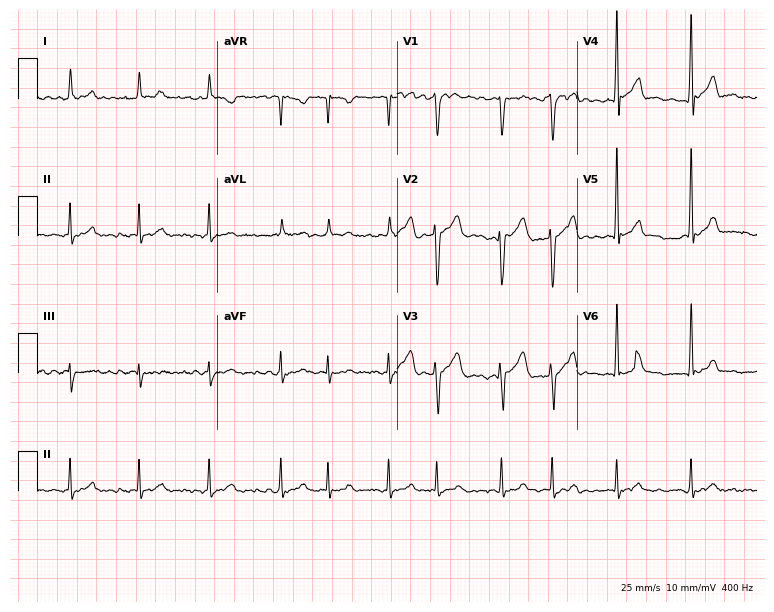
Resting 12-lead electrocardiogram (7.3-second recording at 400 Hz). Patient: a male, 56 years old. The tracing shows atrial fibrillation.